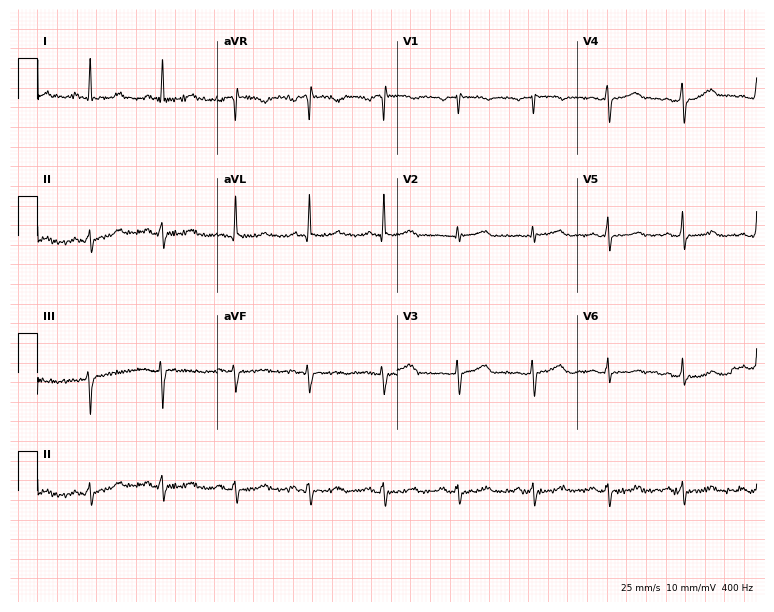
Resting 12-lead electrocardiogram (7.3-second recording at 400 Hz). Patient: a woman, 55 years old. None of these six findings is recorded: first-degree AV block, right bundle branch block, left bundle branch block, sinus bradycardia, atrial fibrillation, sinus tachycardia. Other findings, if any, are not listed.